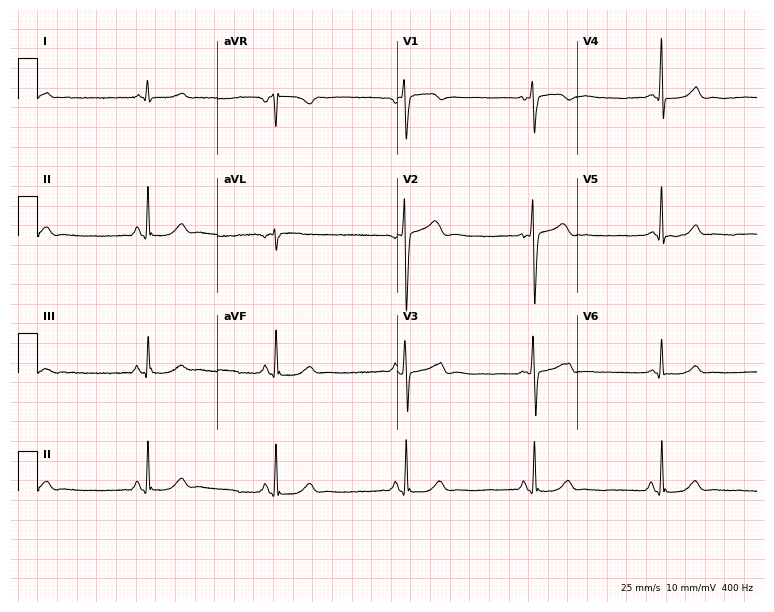
Resting 12-lead electrocardiogram. Patient: a 55-year-old male. The tracing shows sinus bradycardia (a sinus rate of 50 beats per minute or less).